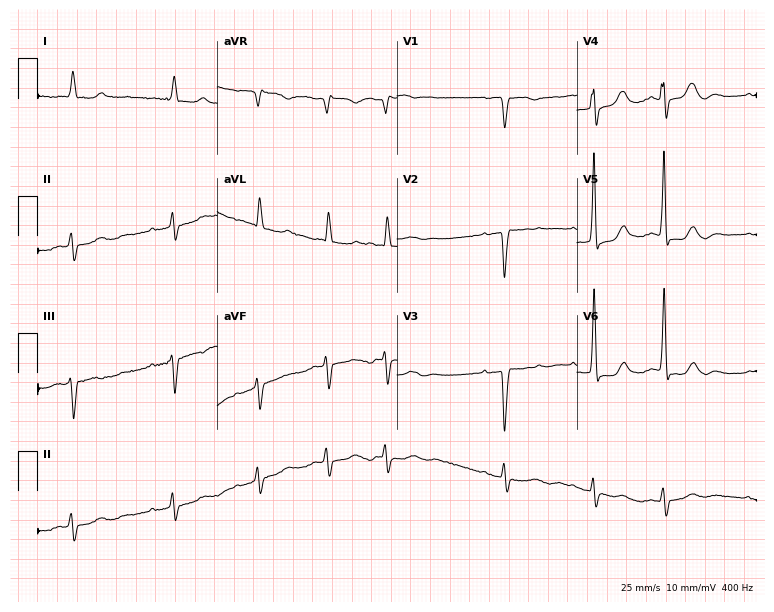
12-lead ECG from an 81-year-old female. No first-degree AV block, right bundle branch block, left bundle branch block, sinus bradycardia, atrial fibrillation or sinus tachycardia recorded for this tracing.